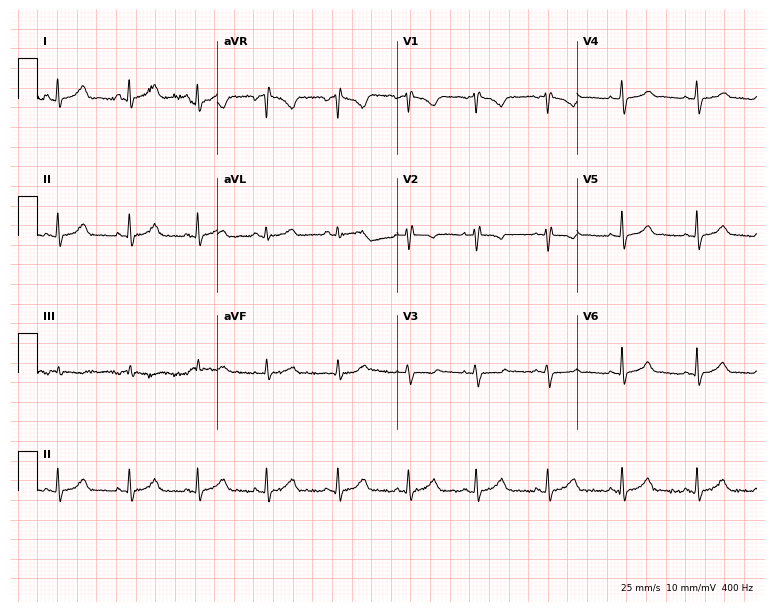
Resting 12-lead electrocardiogram. Patient: a 33-year-old woman. None of these six findings is recorded: first-degree AV block, right bundle branch block (RBBB), left bundle branch block (LBBB), sinus bradycardia, atrial fibrillation (AF), sinus tachycardia.